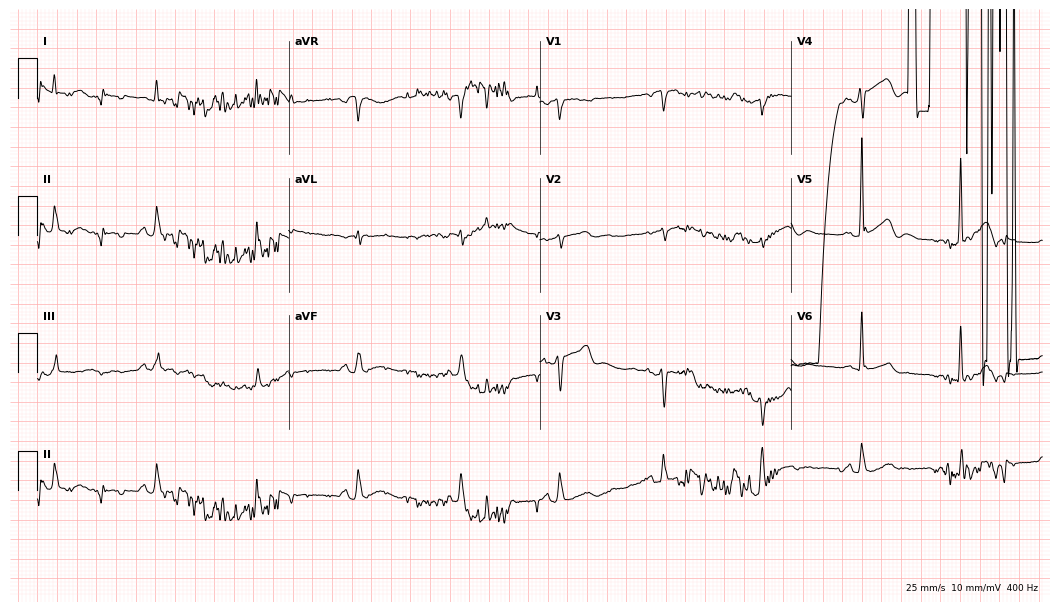
ECG (10.2-second recording at 400 Hz) — a male, 58 years old. Screened for six findings — first-degree AV block, right bundle branch block (RBBB), left bundle branch block (LBBB), sinus bradycardia, atrial fibrillation (AF), sinus tachycardia — none is recorded. Findings outside these six are not listed.